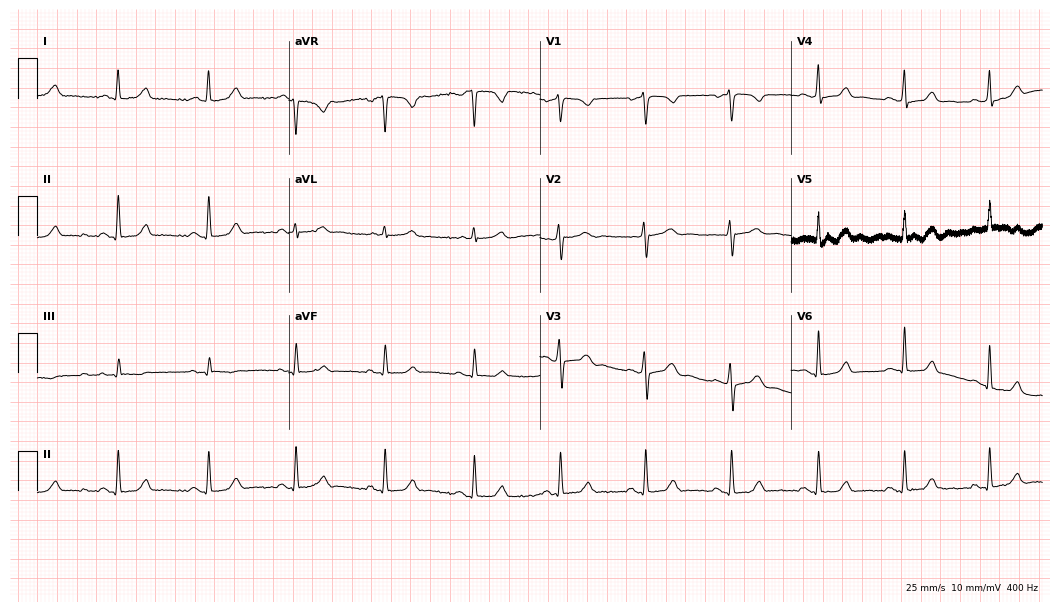
12-lead ECG from a female, 35 years old. Labelled as a normal ECG.